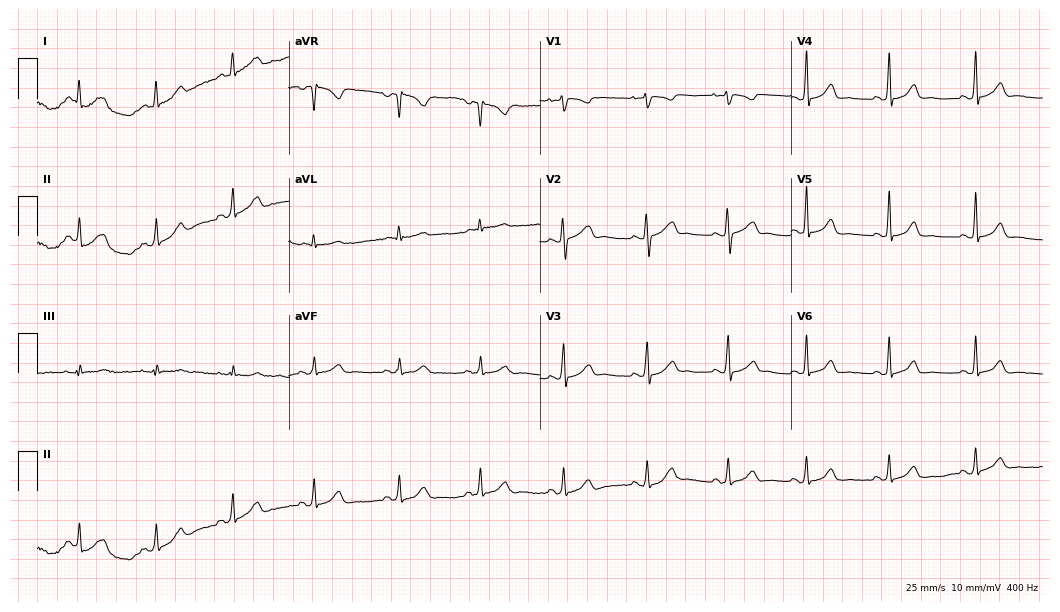
12-lead ECG from a female, 40 years old. Labelled as a normal ECG.